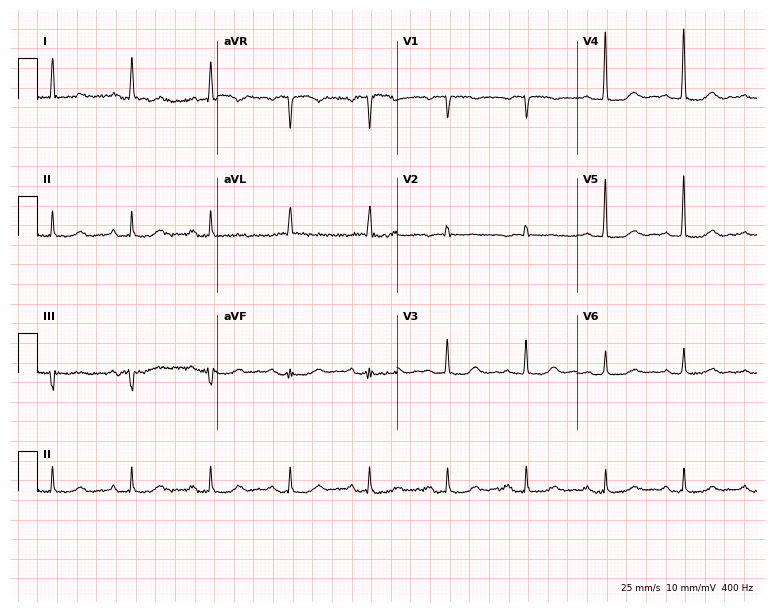
Standard 12-lead ECG recorded from a woman, 84 years old (7.3-second recording at 400 Hz). None of these six findings is recorded: first-degree AV block, right bundle branch block (RBBB), left bundle branch block (LBBB), sinus bradycardia, atrial fibrillation (AF), sinus tachycardia.